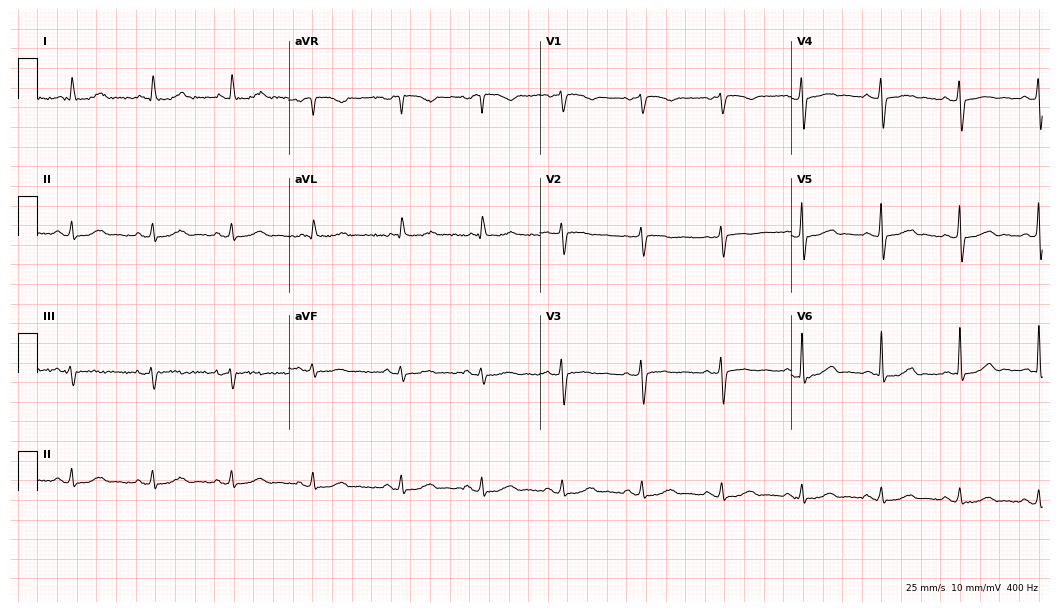
Standard 12-lead ECG recorded from a male patient, 78 years old (10.2-second recording at 400 Hz). Read as a normal ECG.